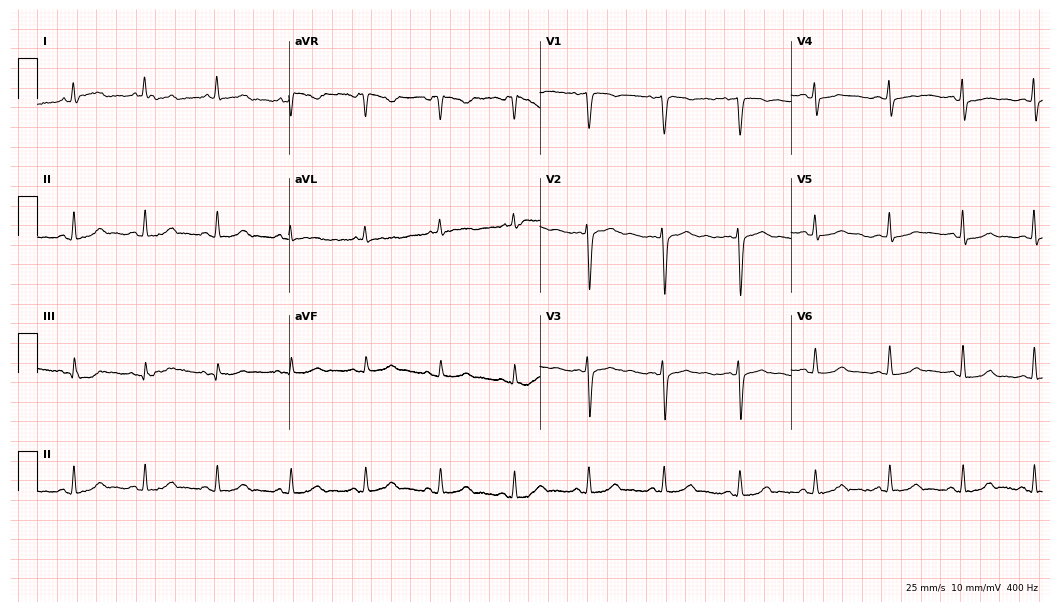
12-lead ECG from a 49-year-old female. Recorded interpretation: within normal limits.